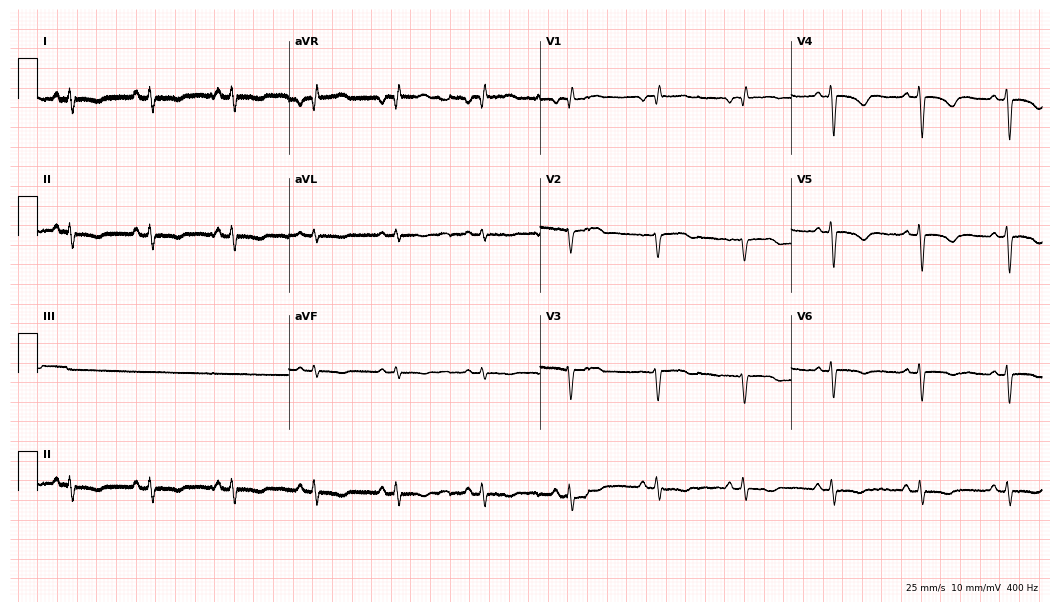
Electrocardiogram, a female patient, 37 years old. Of the six screened findings (first-degree AV block, right bundle branch block (RBBB), left bundle branch block (LBBB), sinus bradycardia, atrial fibrillation (AF), sinus tachycardia), none is recorded. Other findings, if any, are not listed.